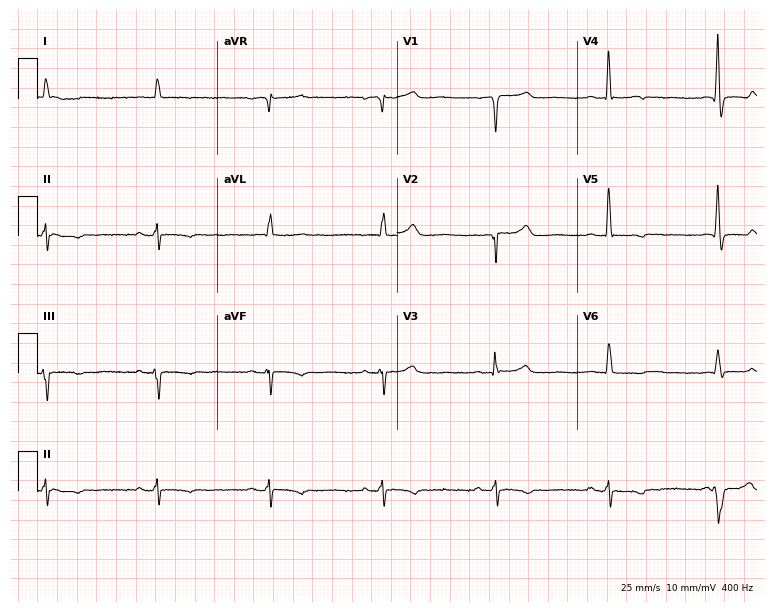
Electrocardiogram (7.3-second recording at 400 Hz), a 74-year-old man. Of the six screened findings (first-degree AV block, right bundle branch block (RBBB), left bundle branch block (LBBB), sinus bradycardia, atrial fibrillation (AF), sinus tachycardia), none is recorded.